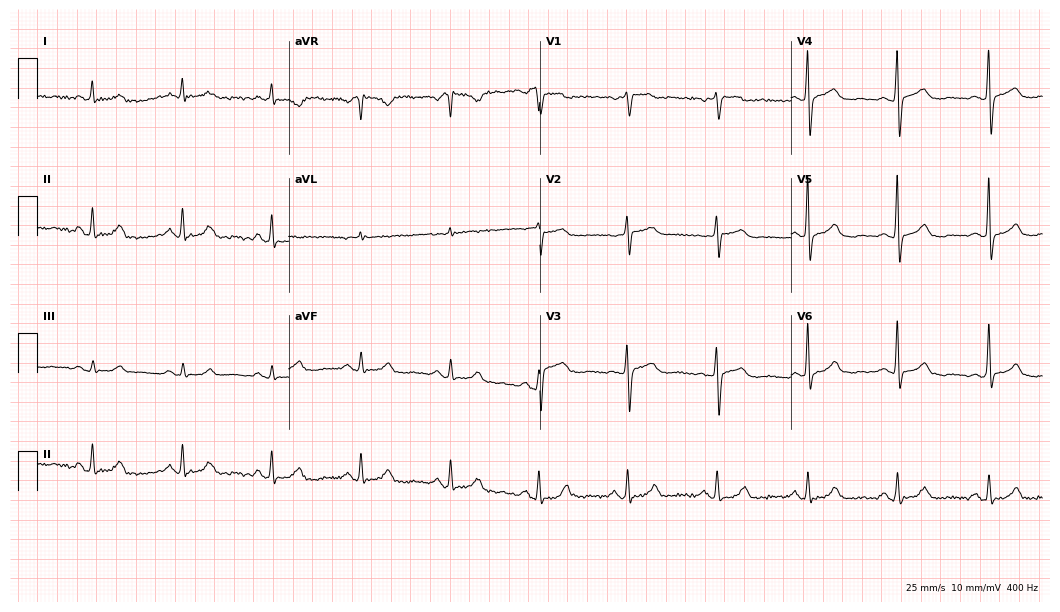
12-lead ECG (10.2-second recording at 400 Hz) from a female patient, 68 years old. Labelled as a normal ECG.